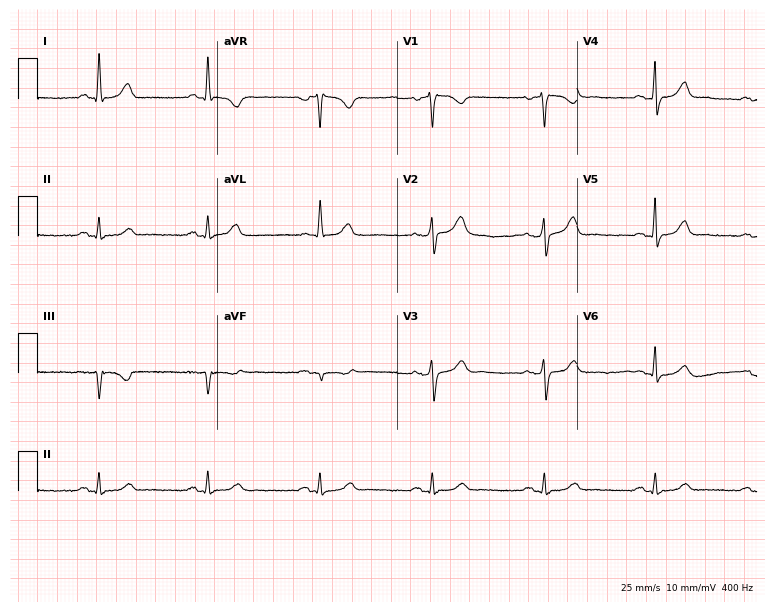
Electrocardiogram (7.3-second recording at 400 Hz), a female patient, 69 years old. Of the six screened findings (first-degree AV block, right bundle branch block (RBBB), left bundle branch block (LBBB), sinus bradycardia, atrial fibrillation (AF), sinus tachycardia), none is recorded. Other findings, if any, are not listed.